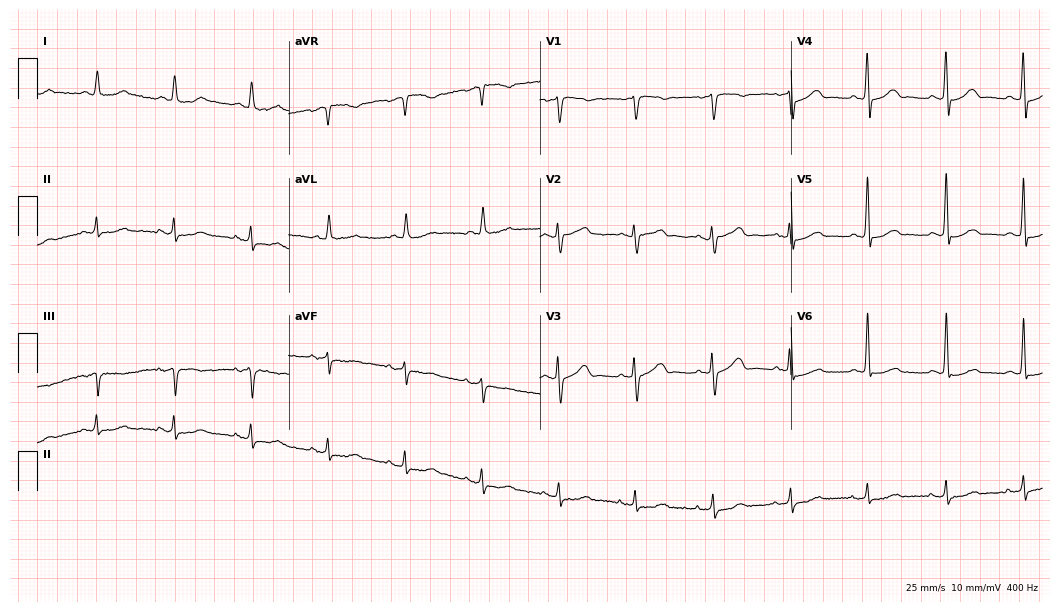
Resting 12-lead electrocardiogram. Patient: an 81-year-old female. None of these six findings is recorded: first-degree AV block, right bundle branch block, left bundle branch block, sinus bradycardia, atrial fibrillation, sinus tachycardia.